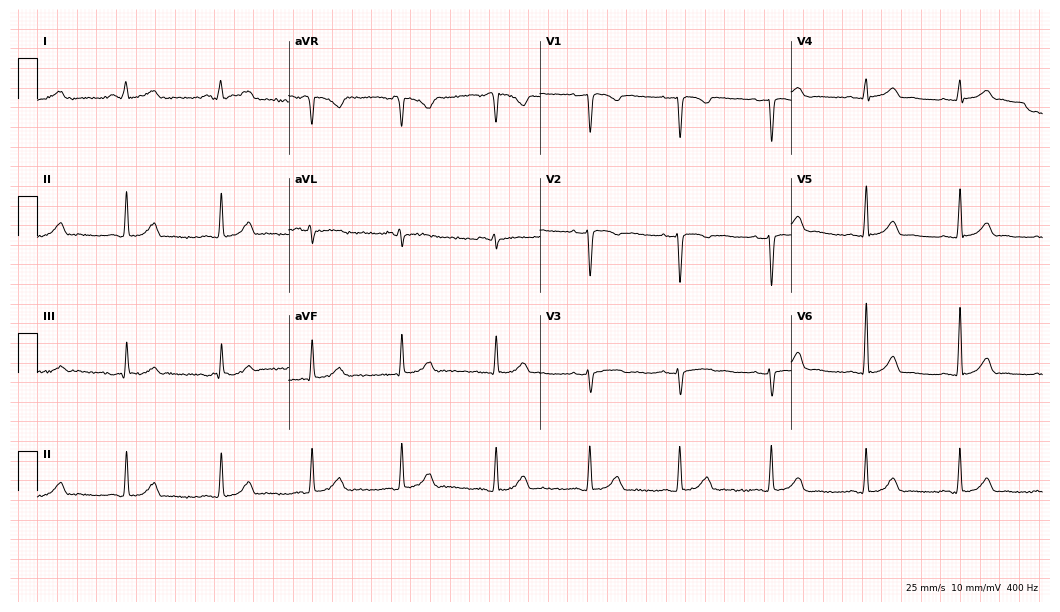
Electrocardiogram (10.2-second recording at 400 Hz), a female, 30 years old. Overall reading on record: normal ECG.